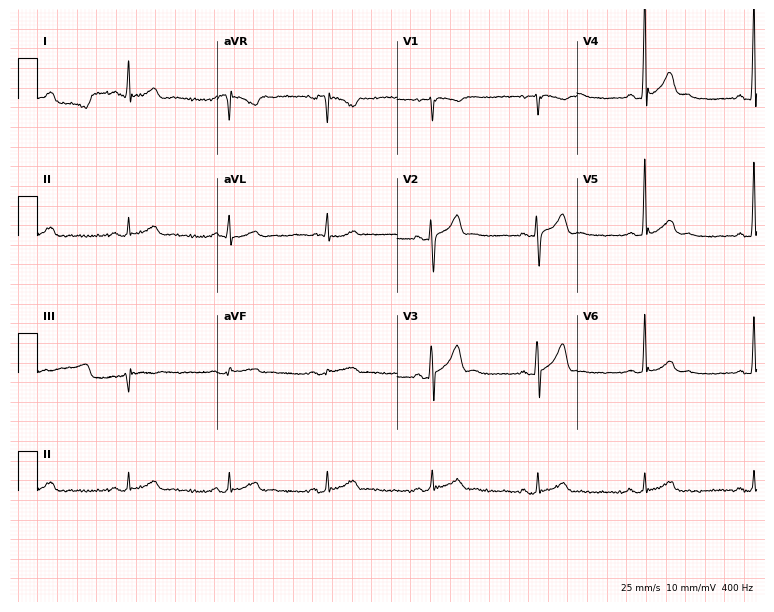
Electrocardiogram (7.3-second recording at 400 Hz), a male patient, 35 years old. Overall reading on record: normal ECG.